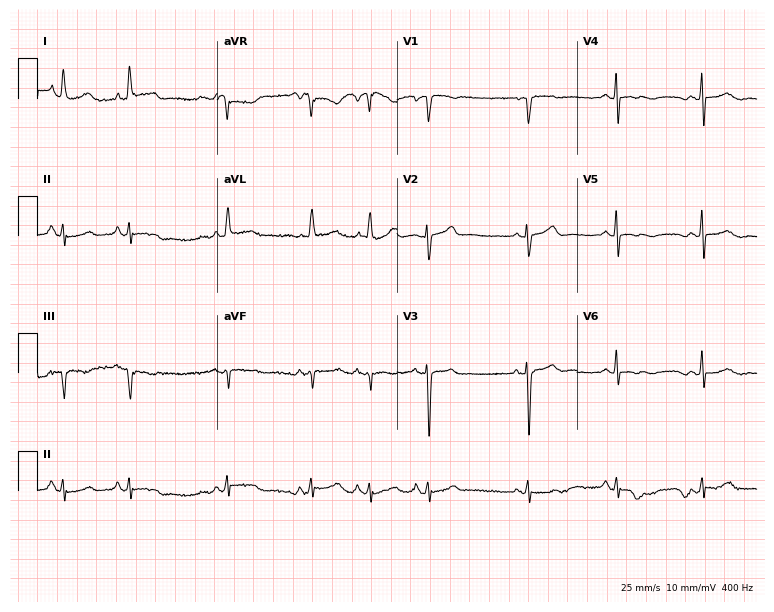
ECG (7.3-second recording at 400 Hz) — a female, 85 years old. Screened for six findings — first-degree AV block, right bundle branch block, left bundle branch block, sinus bradycardia, atrial fibrillation, sinus tachycardia — none is recorded. Findings outside these six are not listed.